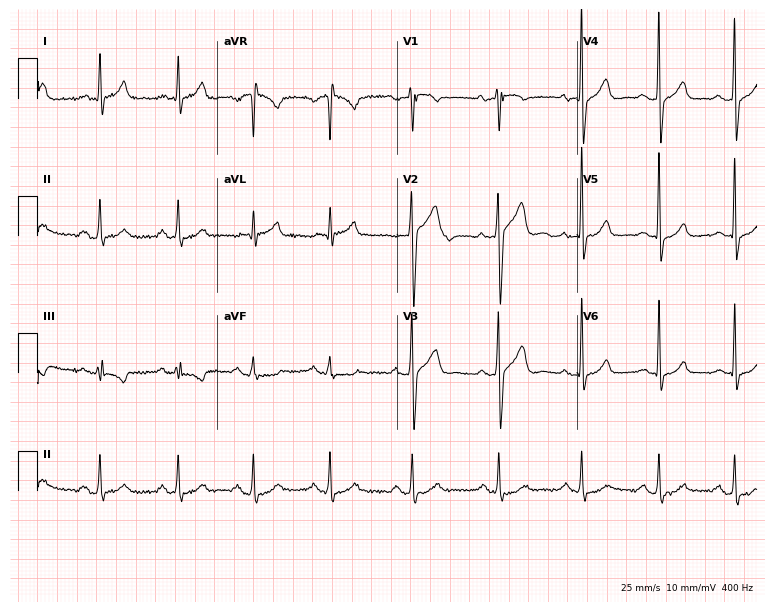
ECG (7.3-second recording at 400 Hz) — a man, 56 years old. Labelled as a normal ECG.